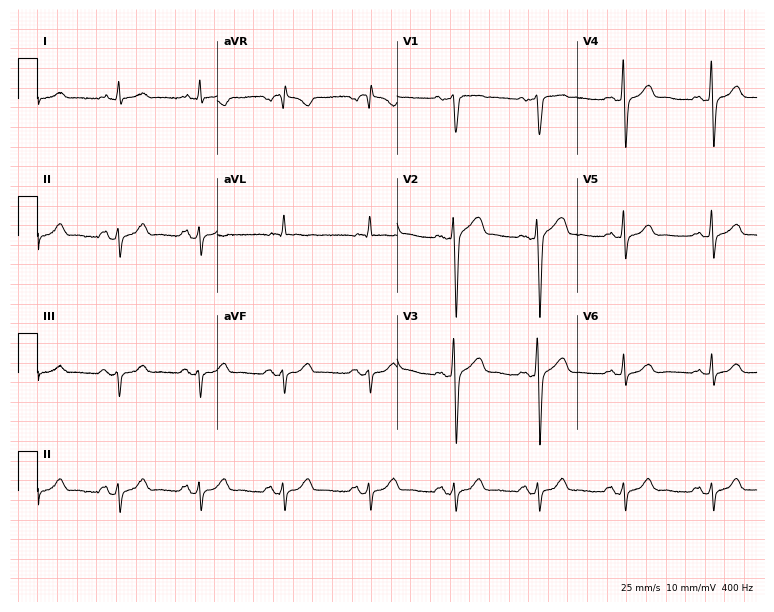
12-lead ECG from a 32-year-old man (7.3-second recording at 400 Hz). No first-degree AV block, right bundle branch block (RBBB), left bundle branch block (LBBB), sinus bradycardia, atrial fibrillation (AF) or sinus tachycardia recorded for this tracing.